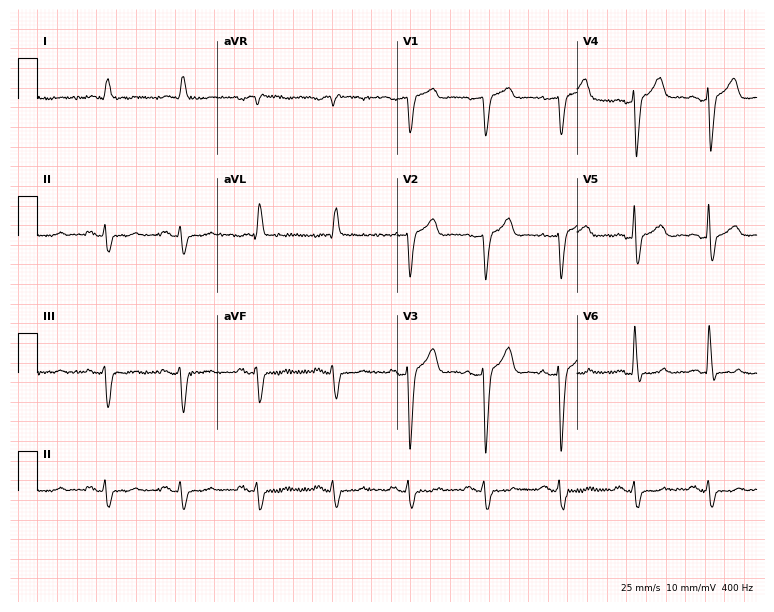
Resting 12-lead electrocardiogram (7.3-second recording at 400 Hz). Patient: a 75-year-old male. None of these six findings is recorded: first-degree AV block, right bundle branch block, left bundle branch block, sinus bradycardia, atrial fibrillation, sinus tachycardia.